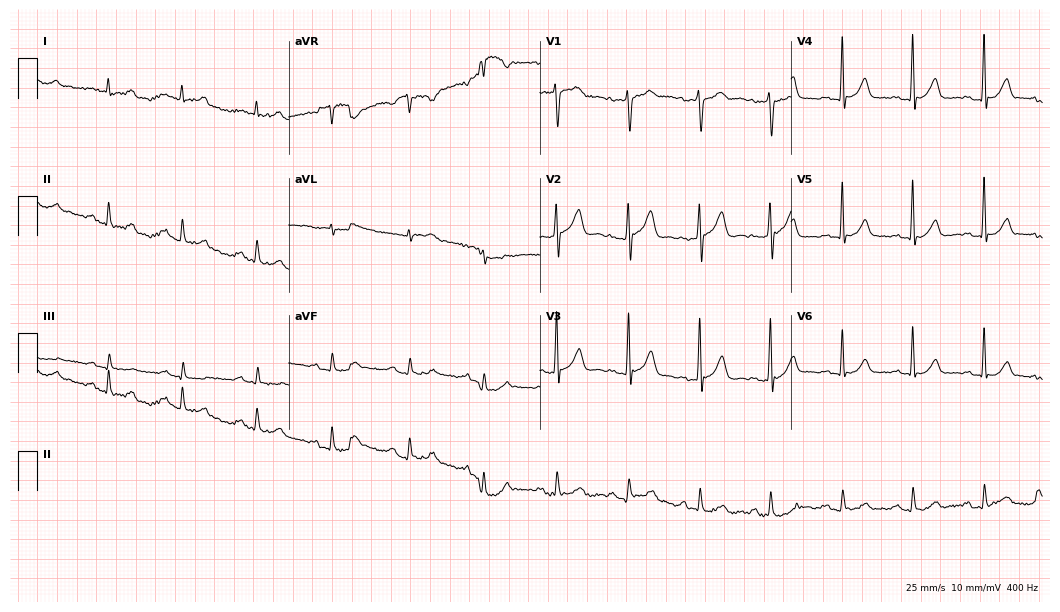
Electrocardiogram (10.2-second recording at 400 Hz), a man, 69 years old. Of the six screened findings (first-degree AV block, right bundle branch block, left bundle branch block, sinus bradycardia, atrial fibrillation, sinus tachycardia), none is recorded. Findings outside these six are not listed.